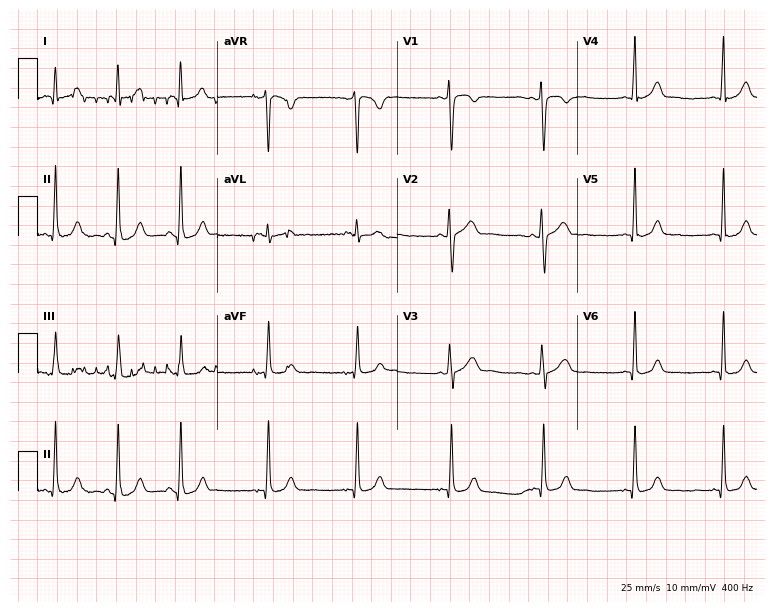
ECG — a female patient, 34 years old. Labelled as a normal ECG.